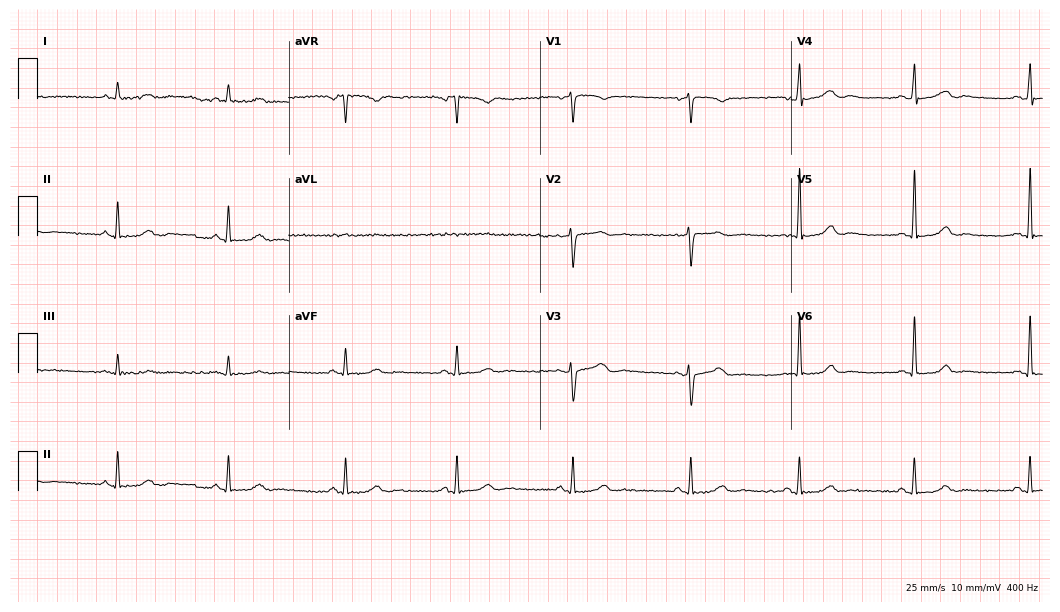
Resting 12-lead electrocardiogram (10.2-second recording at 400 Hz). Patient: a 52-year-old woman. Read as a normal ECG.